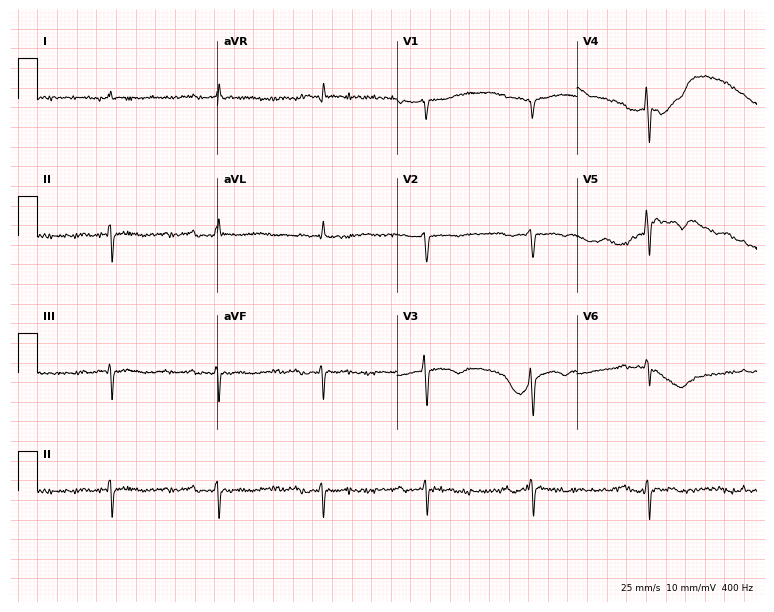
Standard 12-lead ECG recorded from a female patient, 78 years old (7.3-second recording at 400 Hz). None of these six findings is recorded: first-degree AV block, right bundle branch block, left bundle branch block, sinus bradycardia, atrial fibrillation, sinus tachycardia. Only these six findings were labelled.